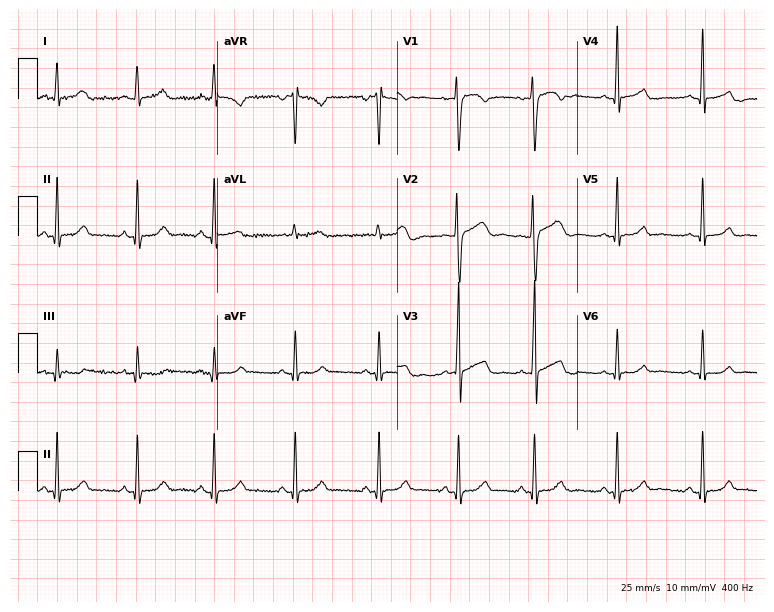
12-lead ECG (7.3-second recording at 400 Hz) from a 31-year-old woman. Labelled as a normal ECG.